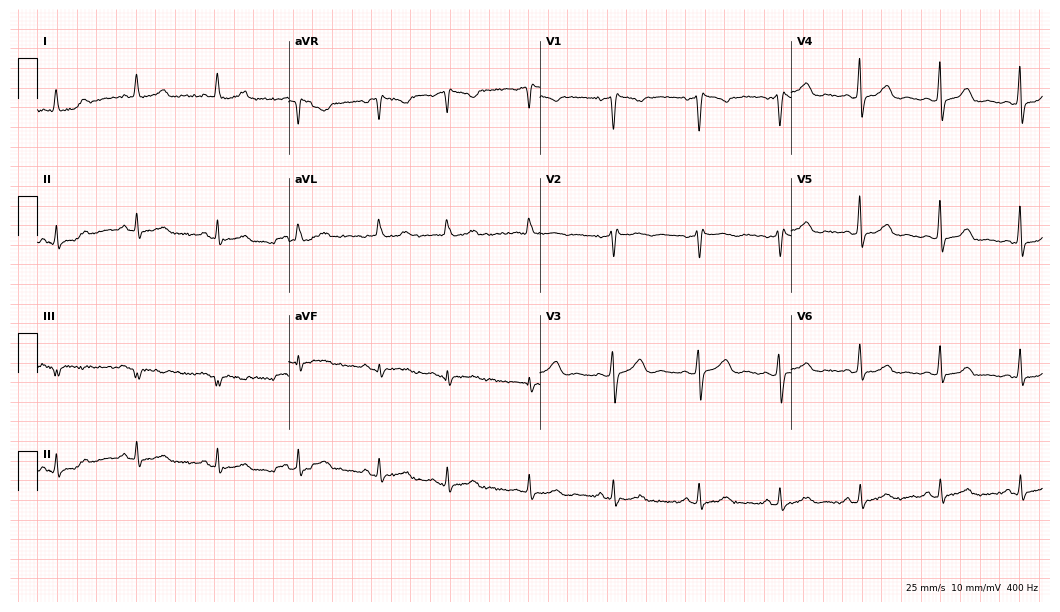
12-lead ECG from a woman, 34 years old. Screened for six findings — first-degree AV block, right bundle branch block, left bundle branch block, sinus bradycardia, atrial fibrillation, sinus tachycardia — none is recorded. Findings outside these six are not listed.